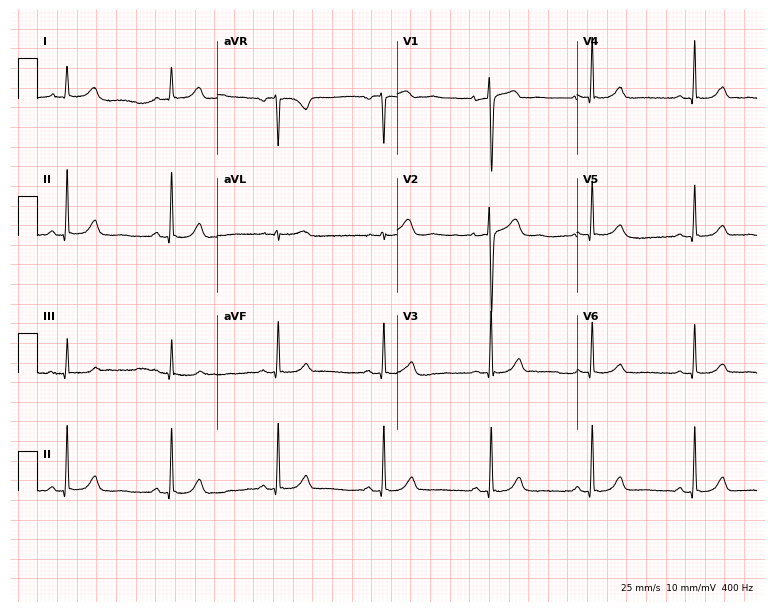
Standard 12-lead ECG recorded from a 47-year-old female patient. Read as a normal ECG.